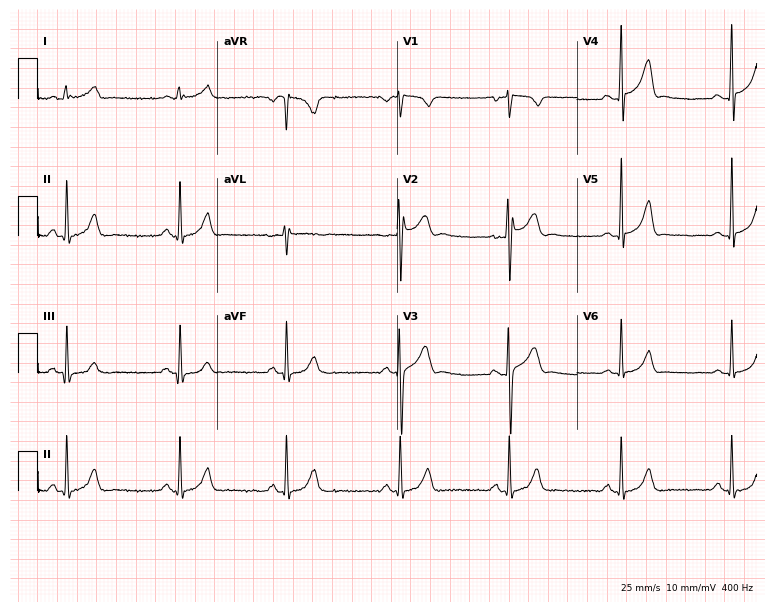
Electrocardiogram (7.3-second recording at 400 Hz), a 22-year-old male. Of the six screened findings (first-degree AV block, right bundle branch block (RBBB), left bundle branch block (LBBB), sinus bradycardia, atrial fibrillation (AF), sinus tachycardia), none is recorded. Other findings, if any, are not listed.